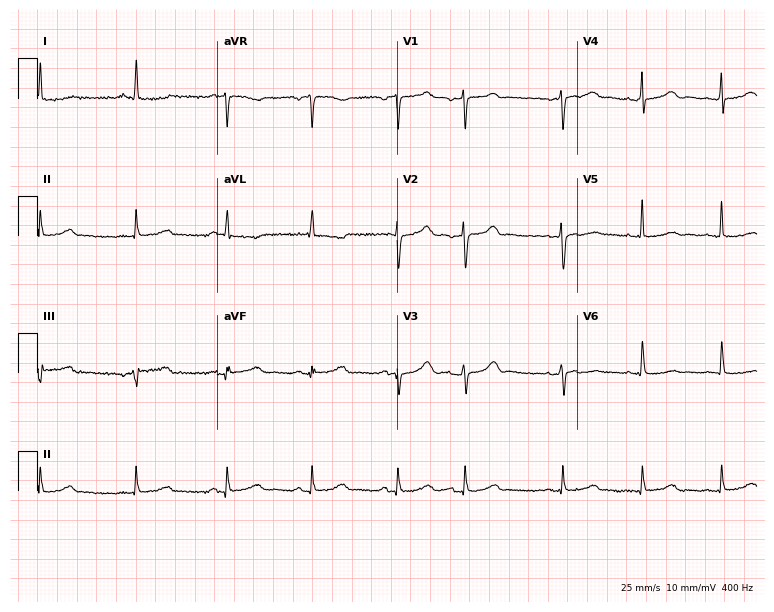
12-lead ECG from a 64-year-old female. Screened for six findings — first-degree AV block, right bundle branch block, left bundle branch block, sinus bradycardia, atrial fibrillation, sinus tachycardia — none is recorded.